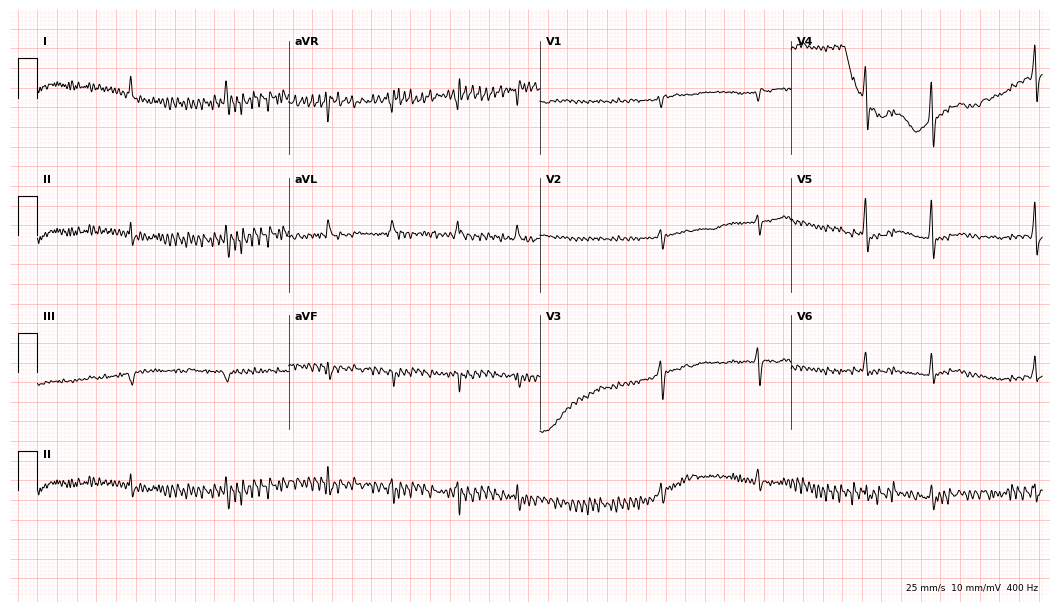
Resting 12-lead electrocardiogram. Patient: a male, 81 years old. None of these six findings is recorded: first-degree AV block, right bundle branch block, left bundle branch block, sinus bradycardia, atrial fibrillation, sinus tachycardia.